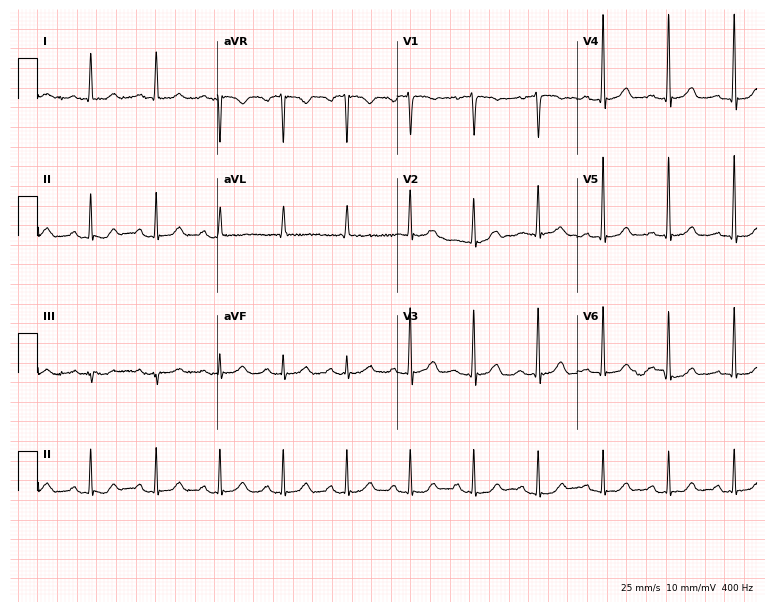
Resting 12-lead electrocardiogram. Patient: a female, 67 years old. Read as a normal ECG.